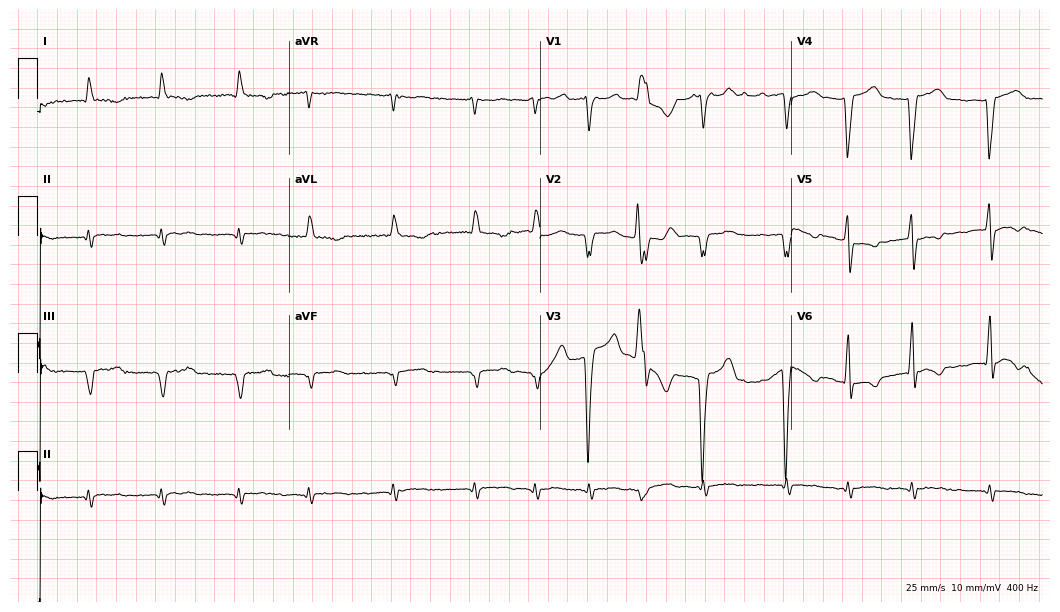
ECG — a male, 57 years old. Findings include atrial fibrillation.